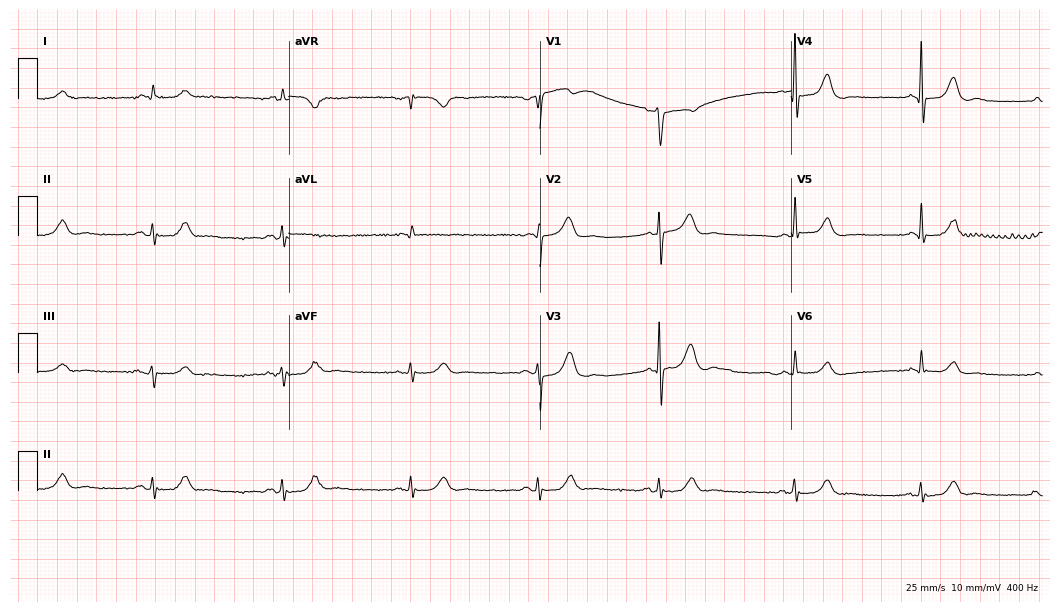
Resting 12-lead electrocardiogram. Patient: a male, 73 years old. The tracing shows sinus bradycardia (a sinus rate of 50 beats per minute or less).